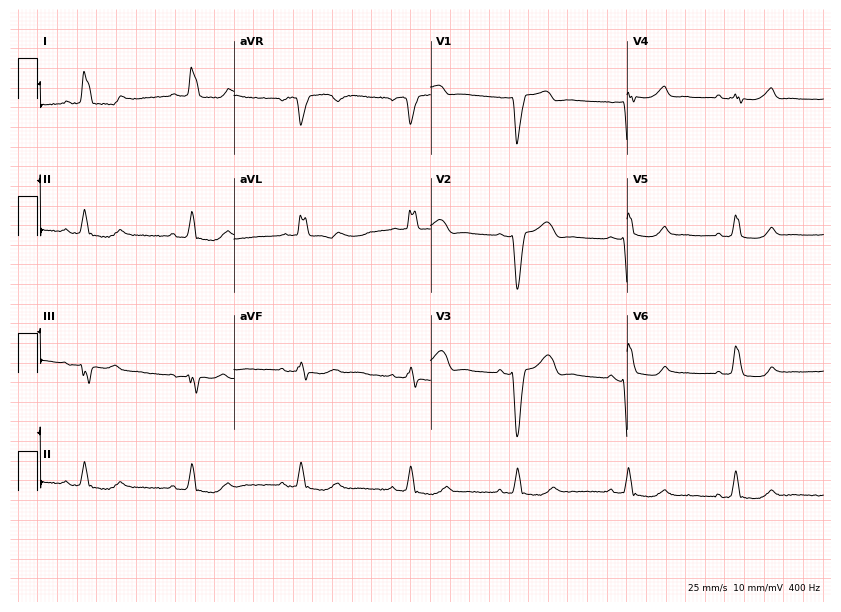
ECG — a female patient, 78 years old. Findings include left bundle branch block.